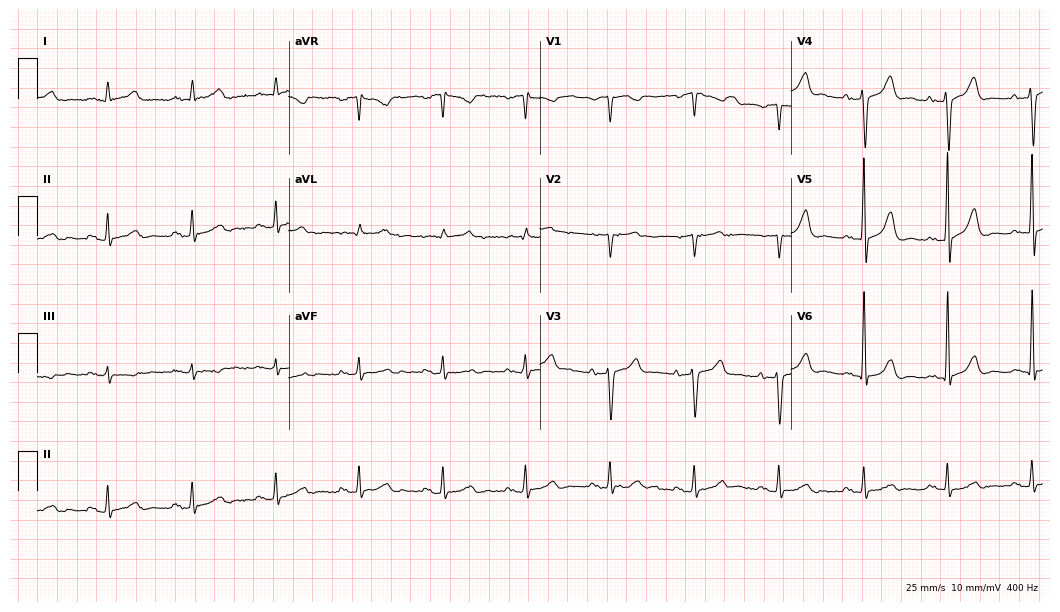
12-lead ECG (10.2-second recording at 400 Hz) from a male, 65 years old. Labelled as a normal ECG.